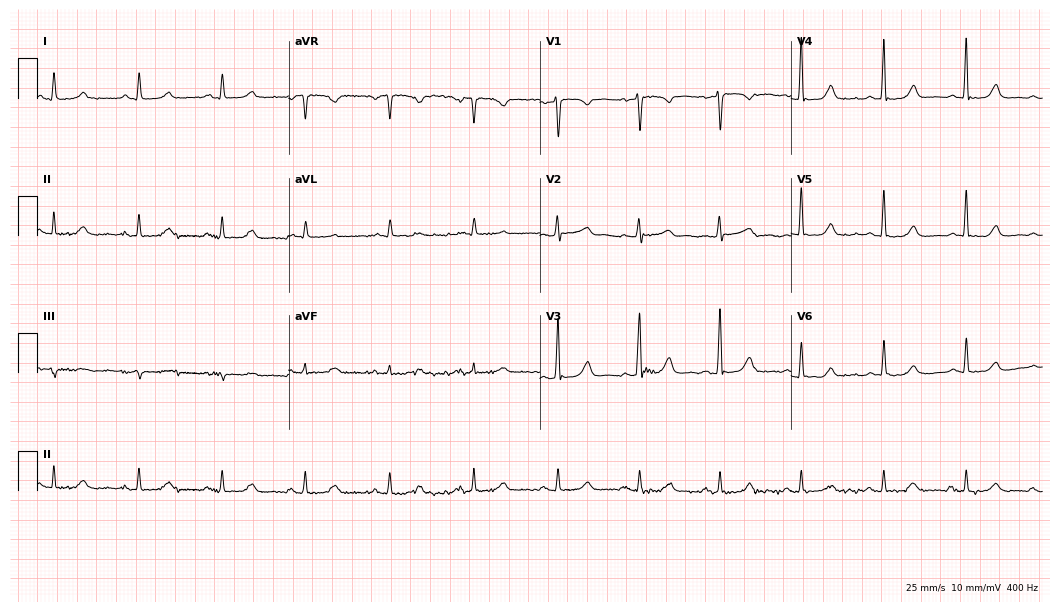
ECG — a 53-year-old female patient. Labelled as a normal ECG.